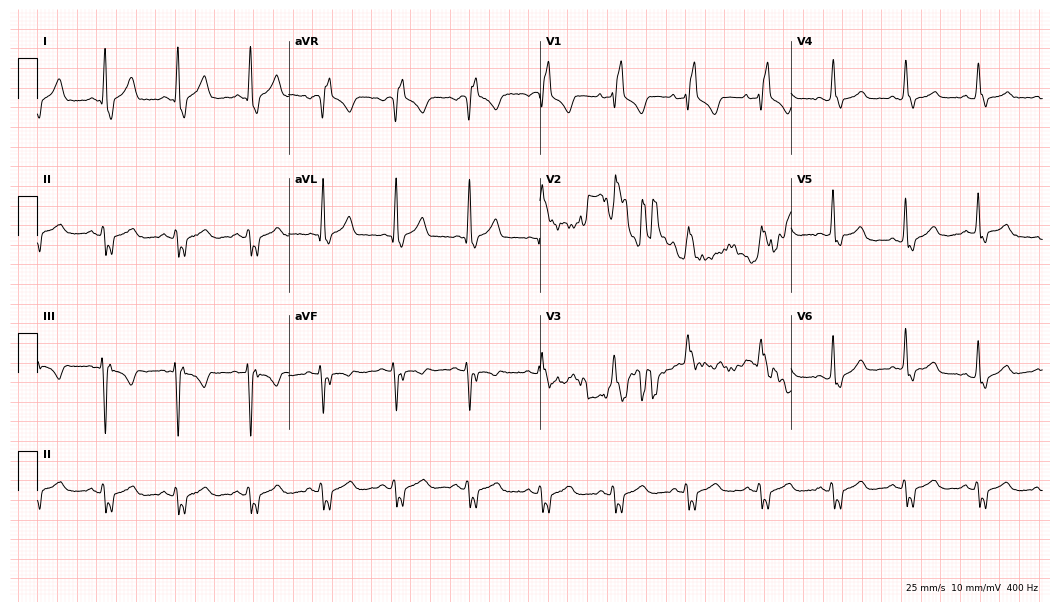
12-lead ECG from a female, 42 years old. Shows right bundle branch block.